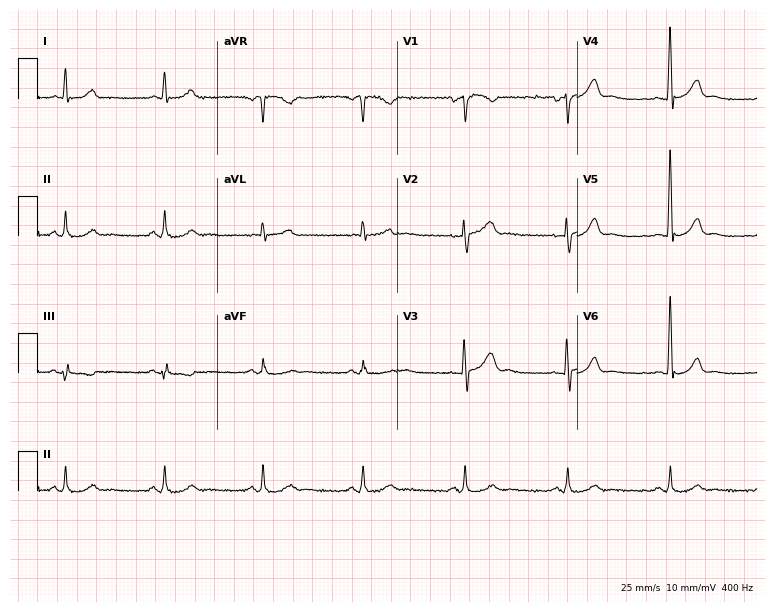
Electrocardiogram (7.3-second recording at 400 Hz), a male patient, 57 years old. Overall reading on record: normal ECG.